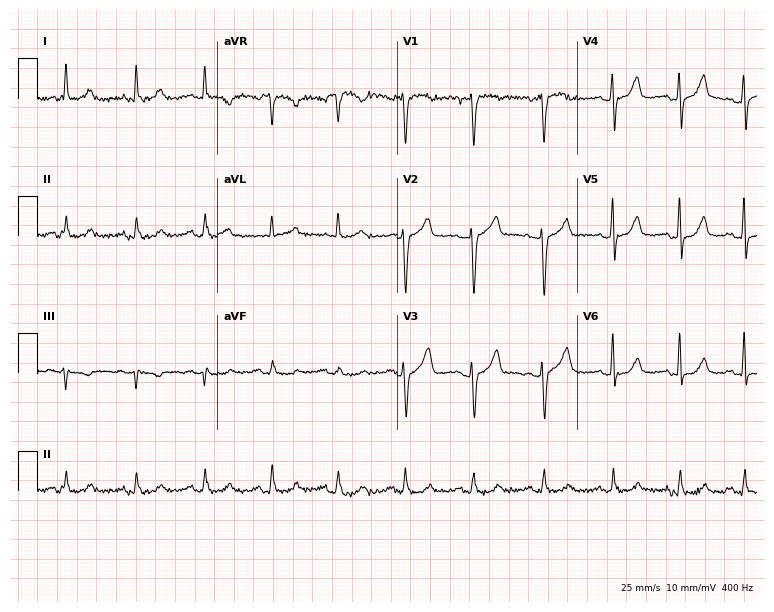
Standard 12-lead ECG recorded from a male, 73 years old. Read as a normal ECG.